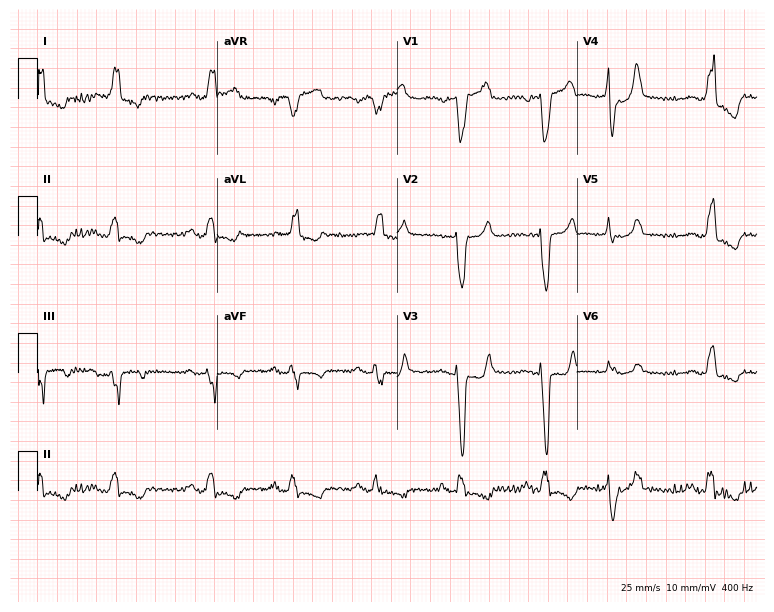
Standard 12-lead ECG recorded from an 84-year-old woman. None of these six findings is recorded: first-degree AV block, right bundle branch block, left bundle branch block, sinus bradycardia, atrial fibrillation, sinus tachycardia.